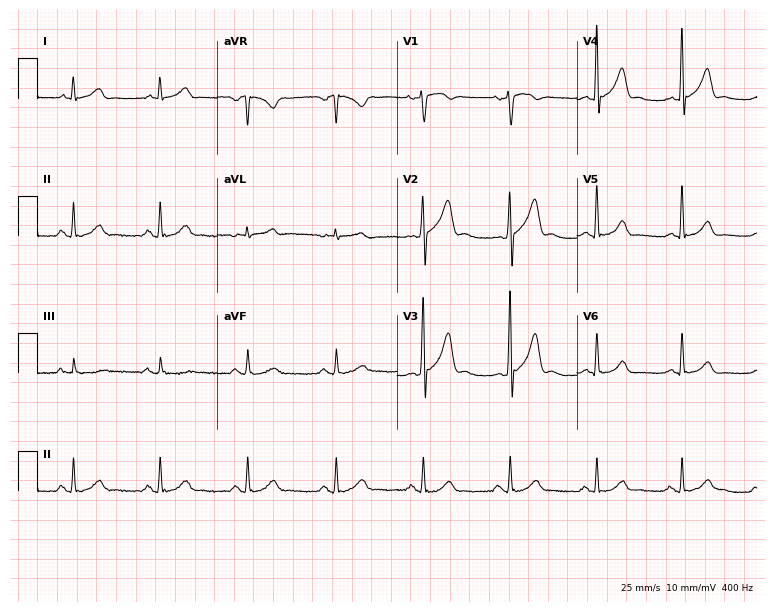
ECG — a male patient, 37 years old. Labelled as a normal ECG.